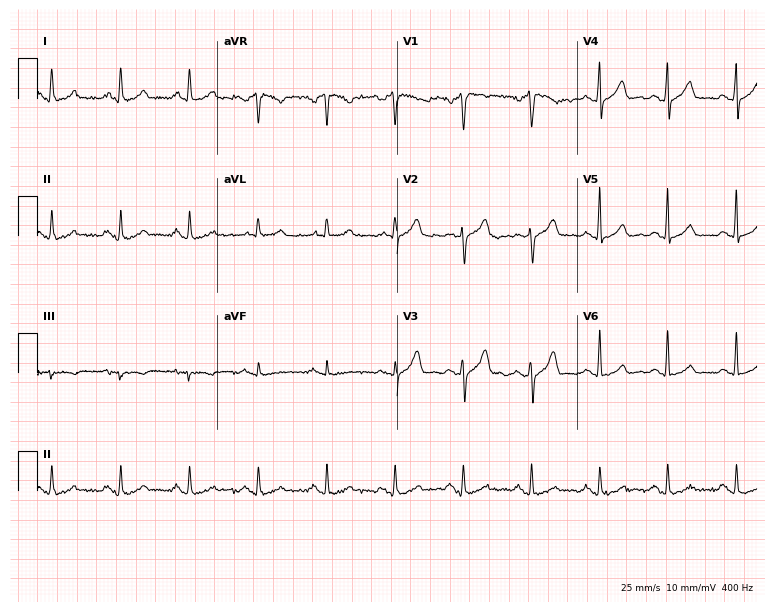
ECG (7.3-second recording at 400 Hz) — a male, 51 years old. Screened for six findings — first-degree AV block, right bundle branch block, left bundle branch block, sinus bradycardia, atrial fibrillation, sinus tachycardia — none is recorded.